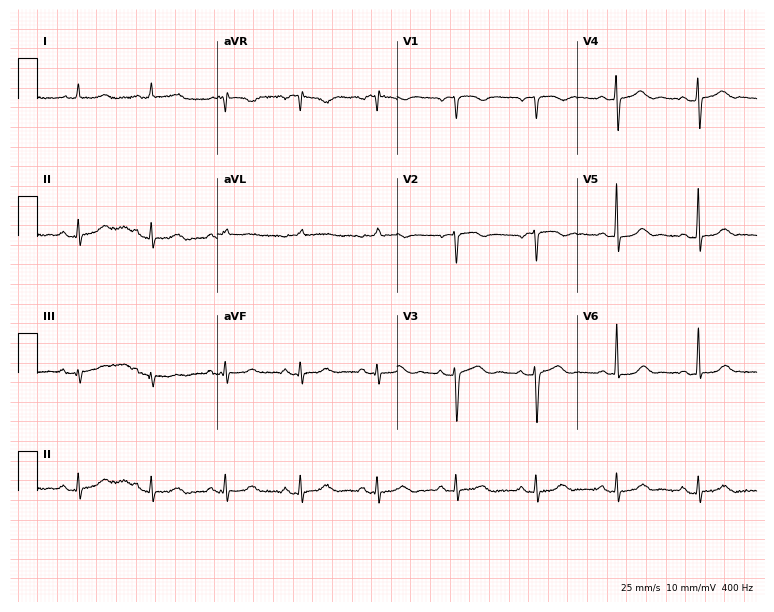
Standard 12-lead ECG recorded from a female patient, 84 years old (7.3-second recording at 400 Hz). Read as a normal ECG.